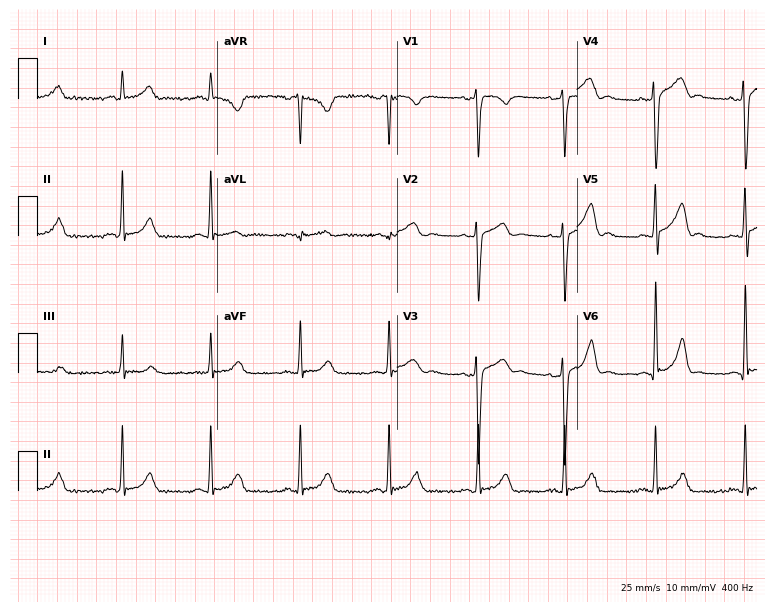
ECG (7.3-second recording at 400 Hz) — a man, 27 years old. Labelled as a normal ECG.